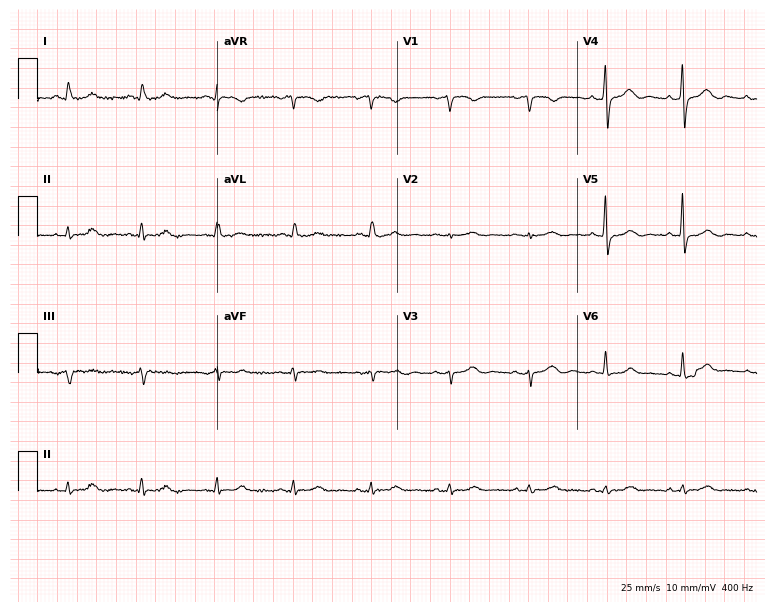
12-lead ECG from a female patient, 65 years old (7.3-second recording at 400 Hz). No first-degree AV block, right bundle branch block (RBBB), left bundle branch block (LBBB), sinus bradycardia, atrial fibrillation (AF) or sinus tachycardia recorded for this tracing.